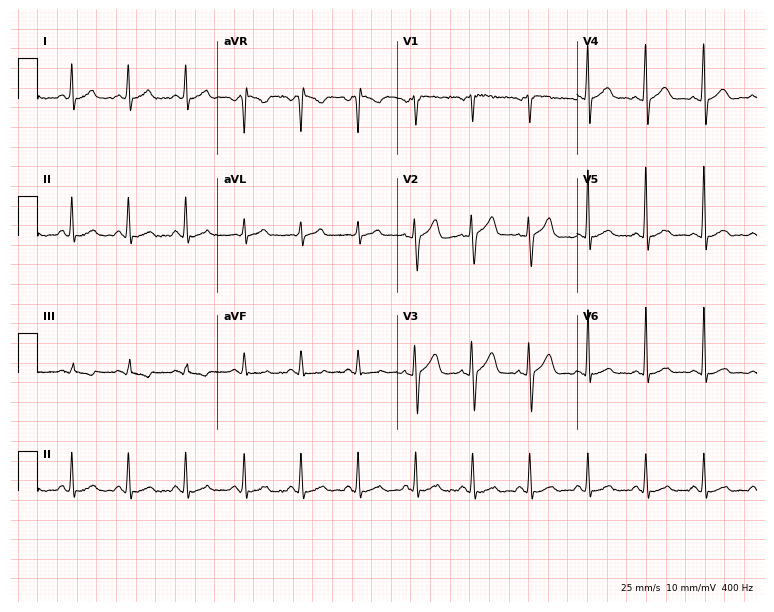
ECG — a 35-year-old man. Findings include sinus tachycardia (a sinus rate of 100 beats per minute or more).